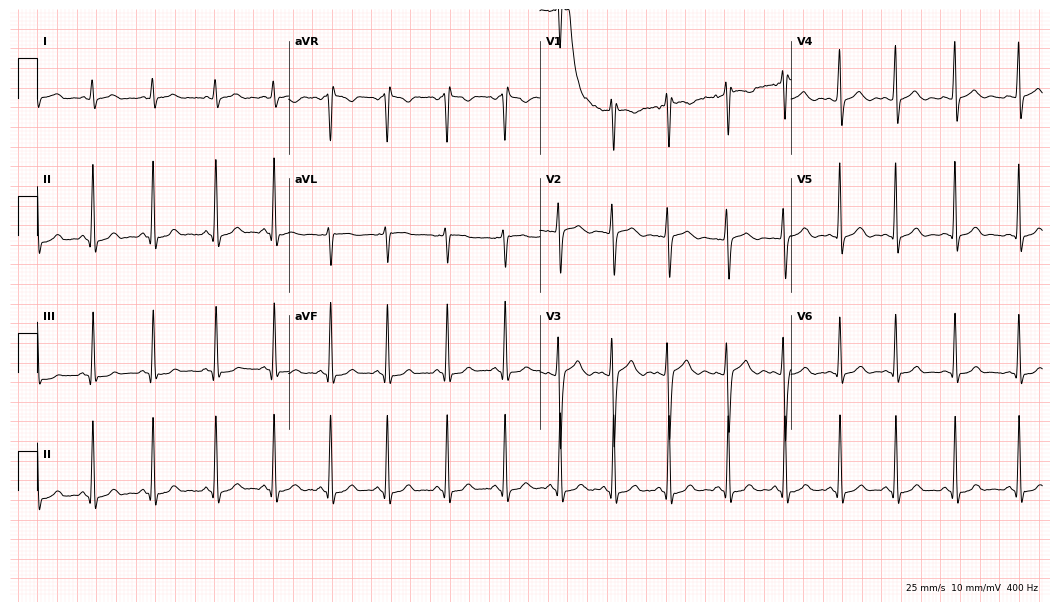
12-lead ECG (10.2-second recording at 400 Hz) from a 19-year-old female. Findings include sinus tachycardia (a sinus rate of 100 beats per minute or more).